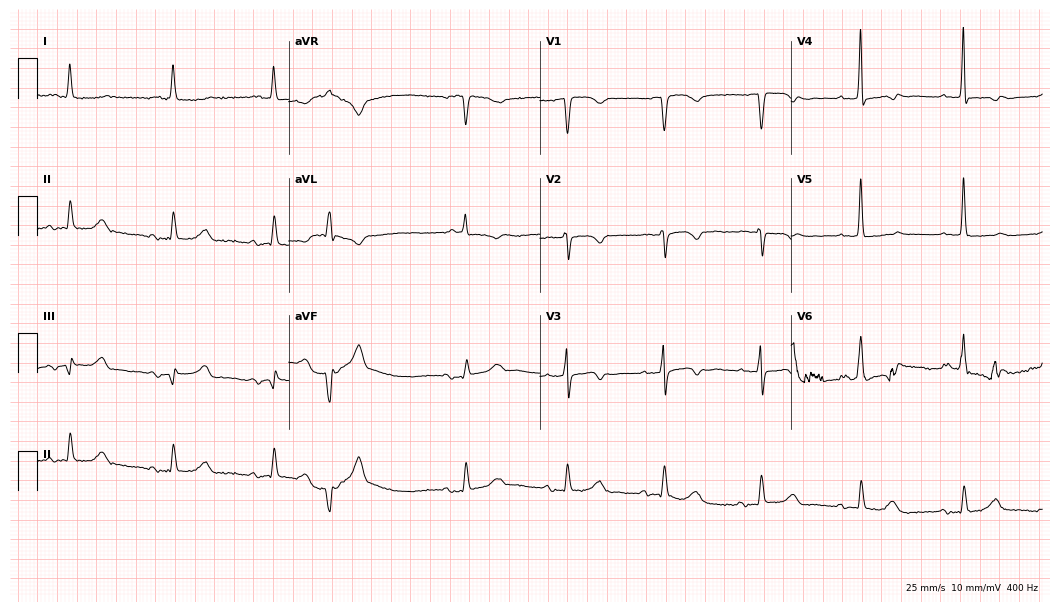
ECG (10.2-second recording at 400 Hz) — a woman, 82 years old. Screened for six findings — first-degree AV block, right bundle branch block, left bundle branch block, sinus bradycardia, atrial fibrillation, sinus tachycardia — none is recorded. Findings outside these six are not listed.